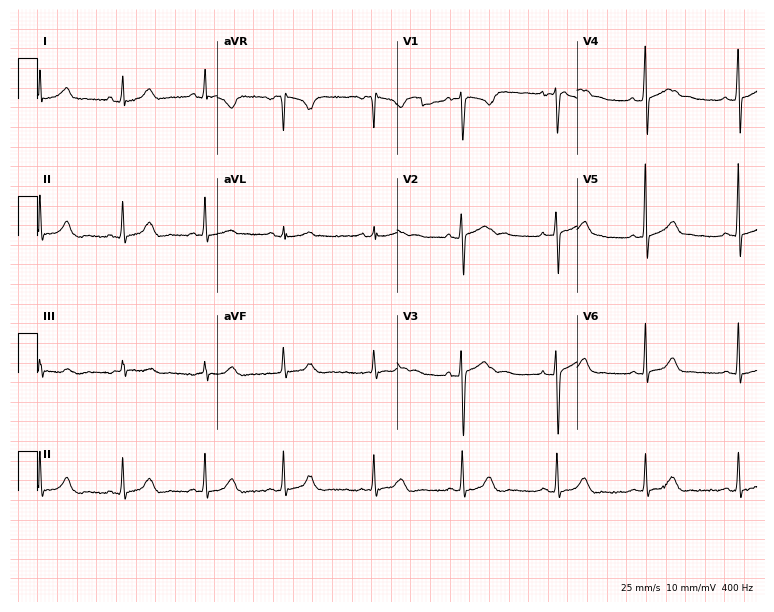
12-lead ECG from a female patient, 18 years old (7.3-second recording at 400 Hz). No first-degree AV block, right bundle branch block (RBBB), left bundle branch block (LBBB), sinus bradycardia, atrial fibrillation (AF) or sinus tachycardia recorded for this tracing.